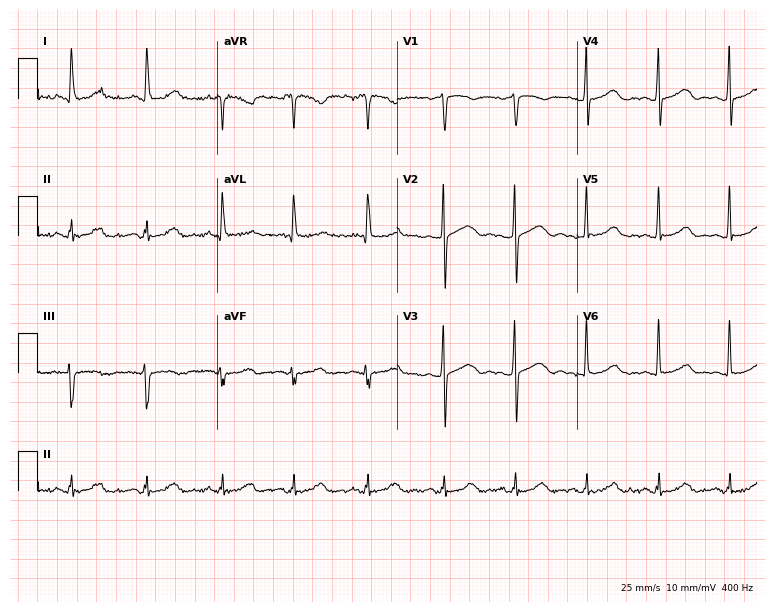
Standard 12-lead ECG recorded from a female, 59 years old. None of these six findings is recorded: first-degree AV block, right bundle branch block (RBBB), left bundle branch block (LBBB), sinus bradycardia, atrial fibrillation (AF), sinus tachycardia.